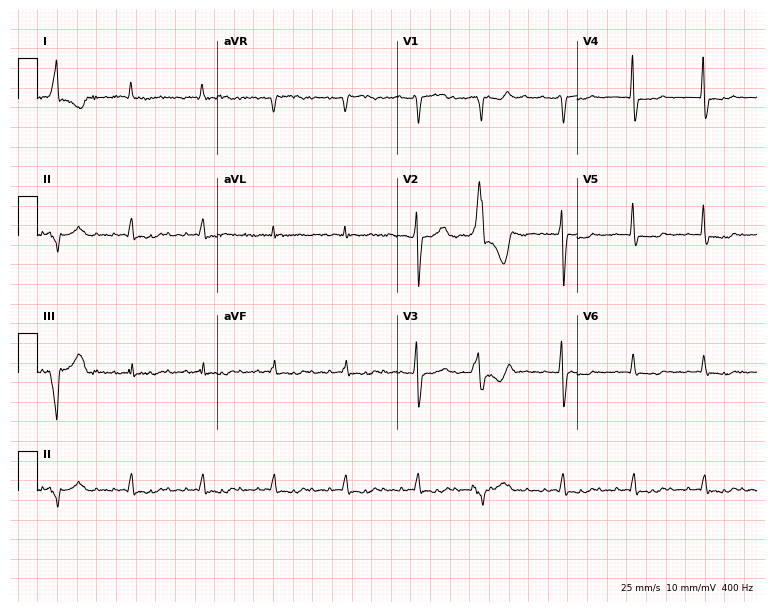
Standard 12-lead ECG recorded from a male patient, 76 years old. None of these six findings is recorded: first-degree AV block, right bundle branch block, left bundle branch block, sinus bradycardia, atrial fibrillation, sinus tachycardia.